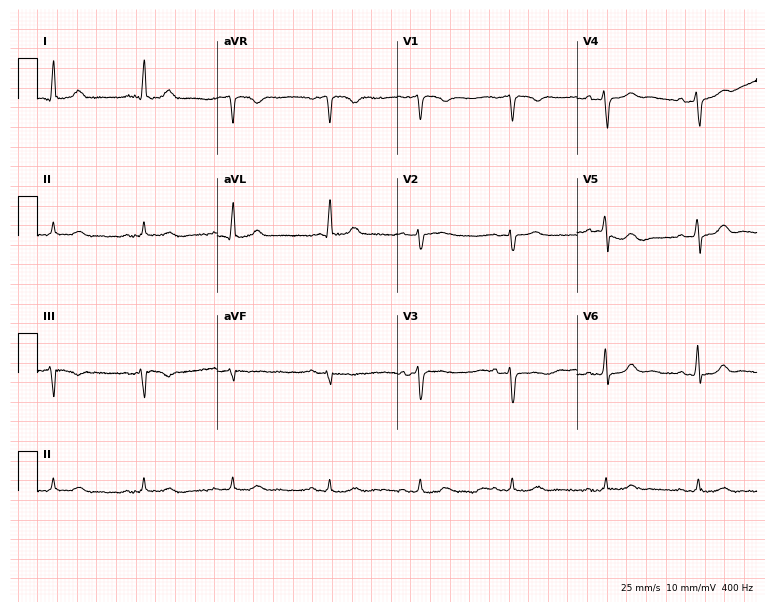
ECG — an 84-year-old man. Screened for six findings — first-degree AV block, right bundle branch block, left bundle branch block, sinus bradycardia, atrial fibrillation, sinus tachycardia — none is recorded. Findings outside these six are not listed.